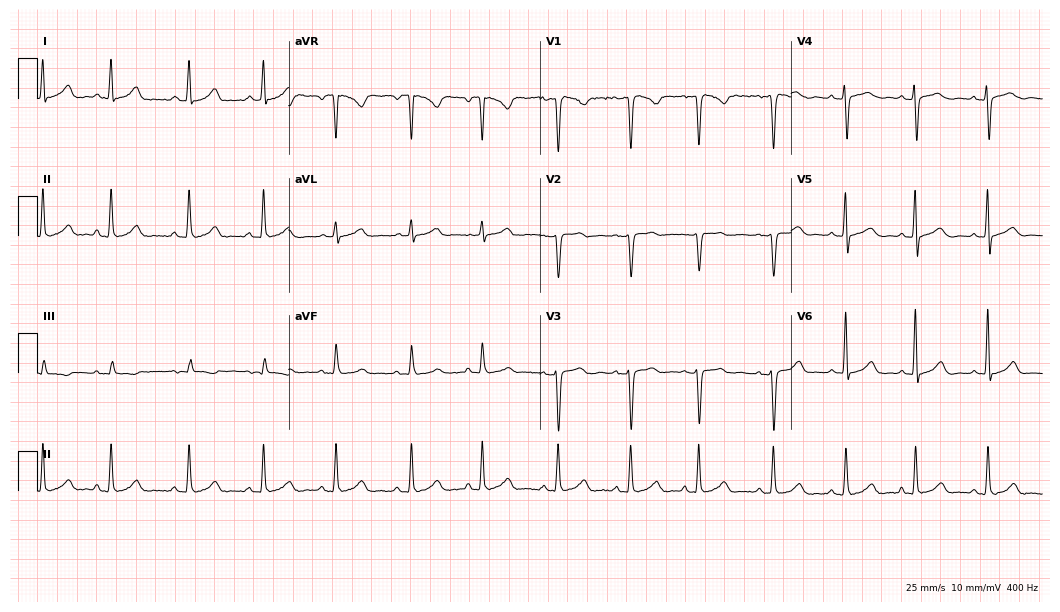
12-lead ECG from a woman, 33 years old. No first-degree AV block, right bundle branch block (RBBB), left bundle branch block (LBBB), sinus bradycardia, atrial fibrillation (AF) or sinus tachycardia recorded for this tracing.